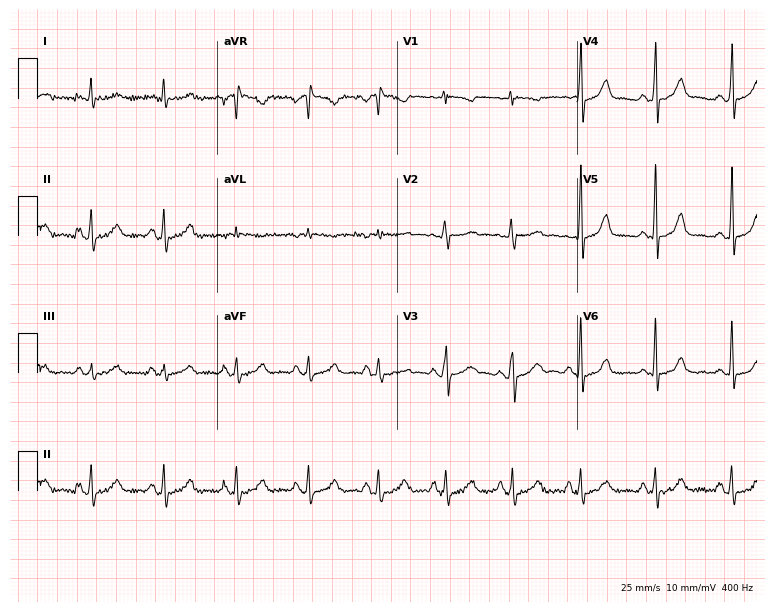
12-lead ECG from a 31-year-old female. Recorded interpretation: within normal limits.